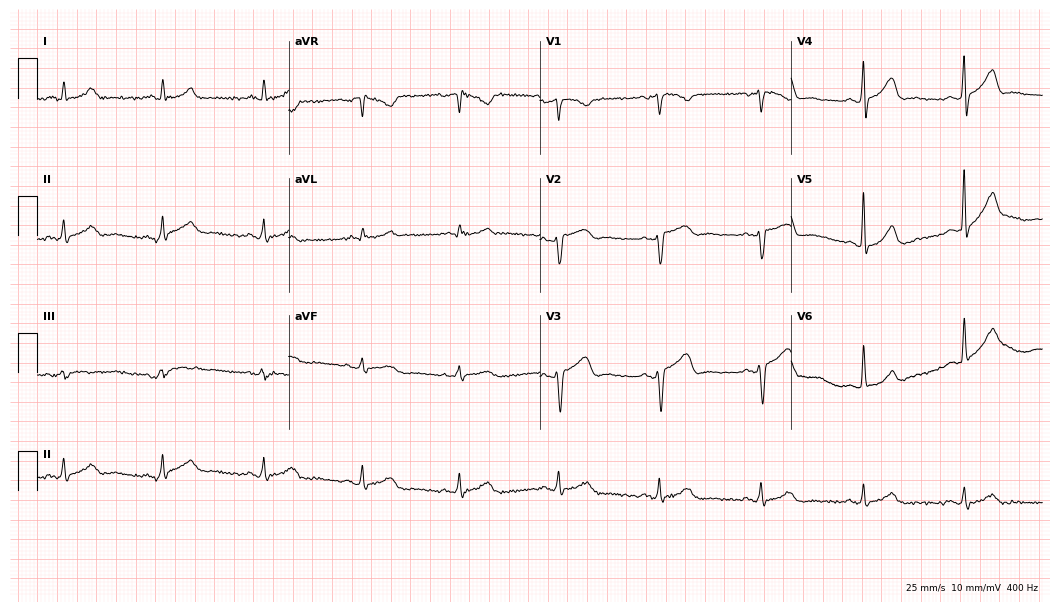
Standard 12-lead ECG recorded from a female patient, 50 years old. Read as a normal ECG.